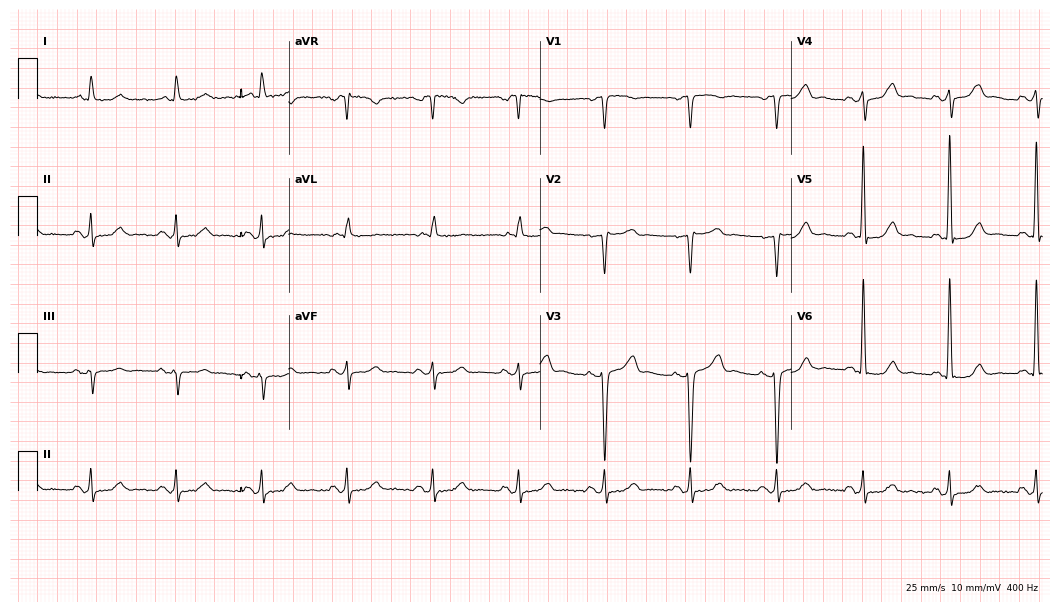
ECG — a man, 80 years old. Screened for six findings — first-degree AV block, right bundle branch block (RBBB), left bundle branch block (LBBB), sinus bradycardia, atrial fibrillation (AF), sinus tachycardia — none is recorded.